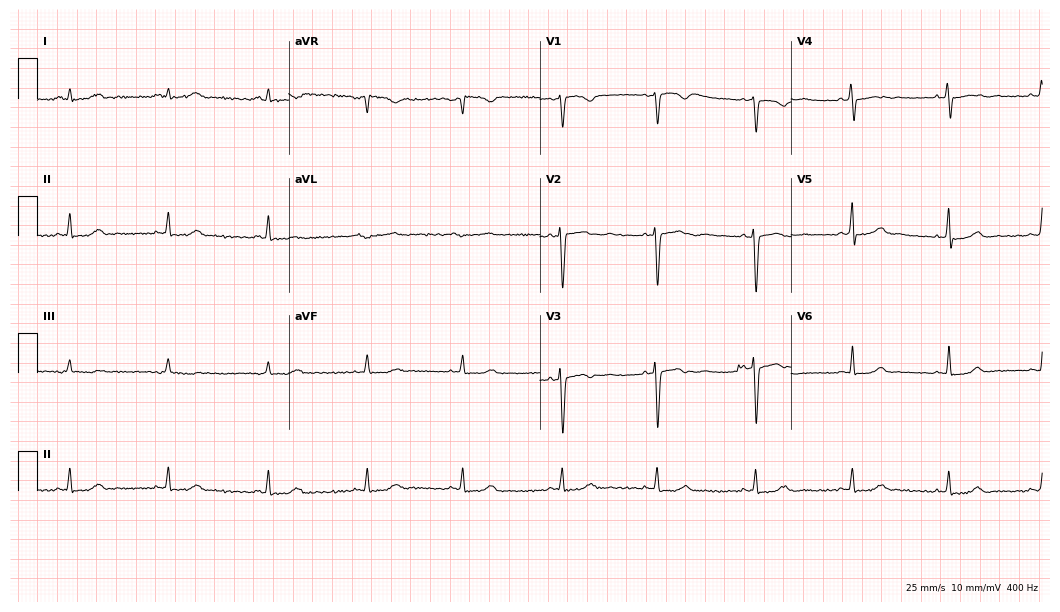
Electrocardiogram, a female patient, 37 years old. Overall reading on record: normal ECG.